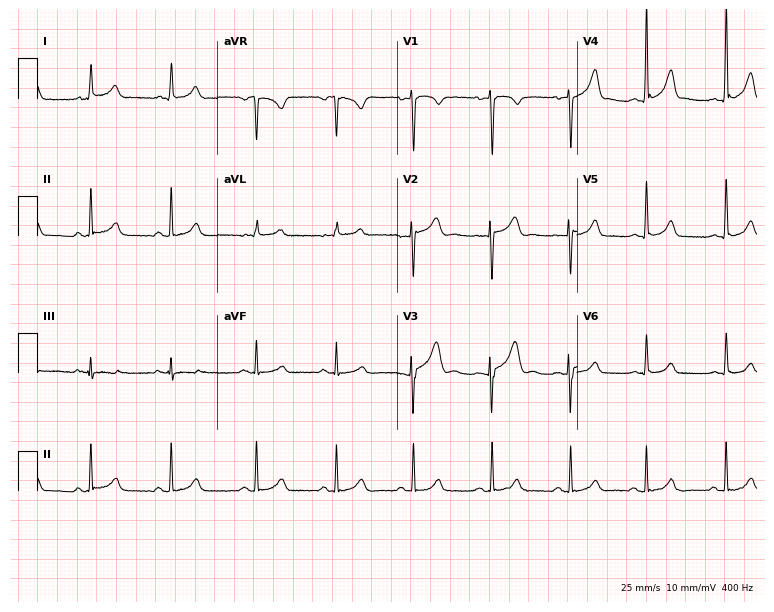
Standard 12-lead ECG recorded from a female patient, 28 years old (7.3-second recording at 400 Hz). Read as a normal ECG.